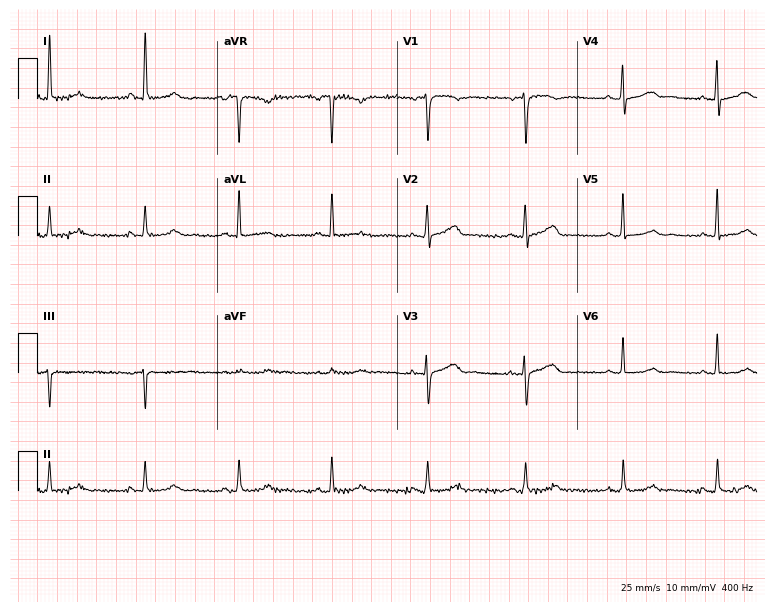
Standard 12-lead ECG recorded from a female patient, 62 years old (7.3-second recording at 400 Hz). None of these six findings is recorded: first-degree AV block, right bundle branch block, left bundle branch block, sinus bradycardia, atrial fibrillation, sinus tachycardia.